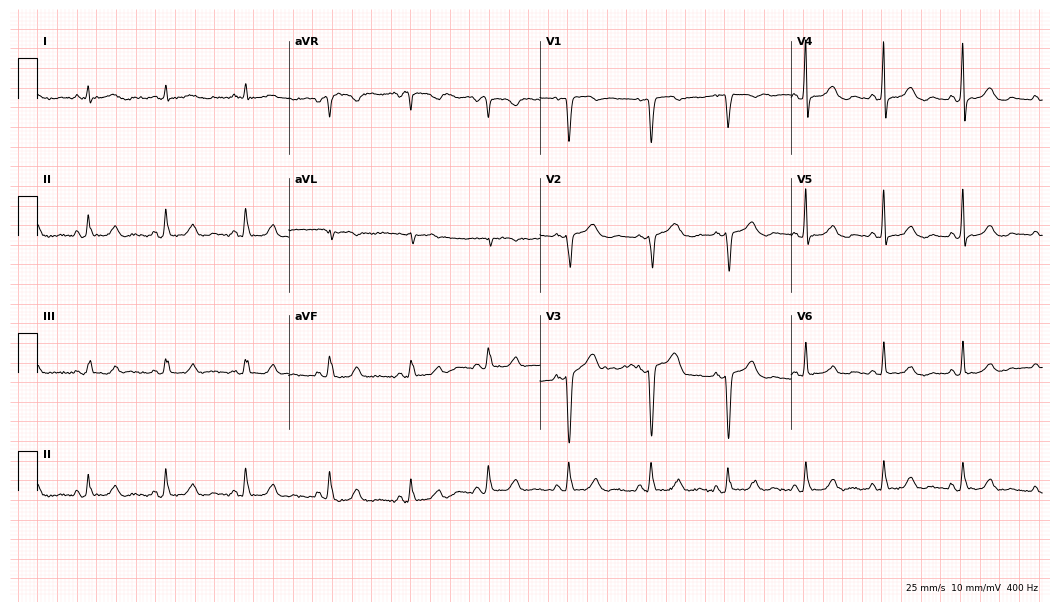
Electrocardiogram, a 52-year-old woman. Of the six screened findings (first-degree AV block, right bundle branch block (RBBB), left bundle branch block (LBBB), sinus bradycardia, atrial fibrillation (AF), sinus tachycardia), none is recorded. Only these six findings were labelled.